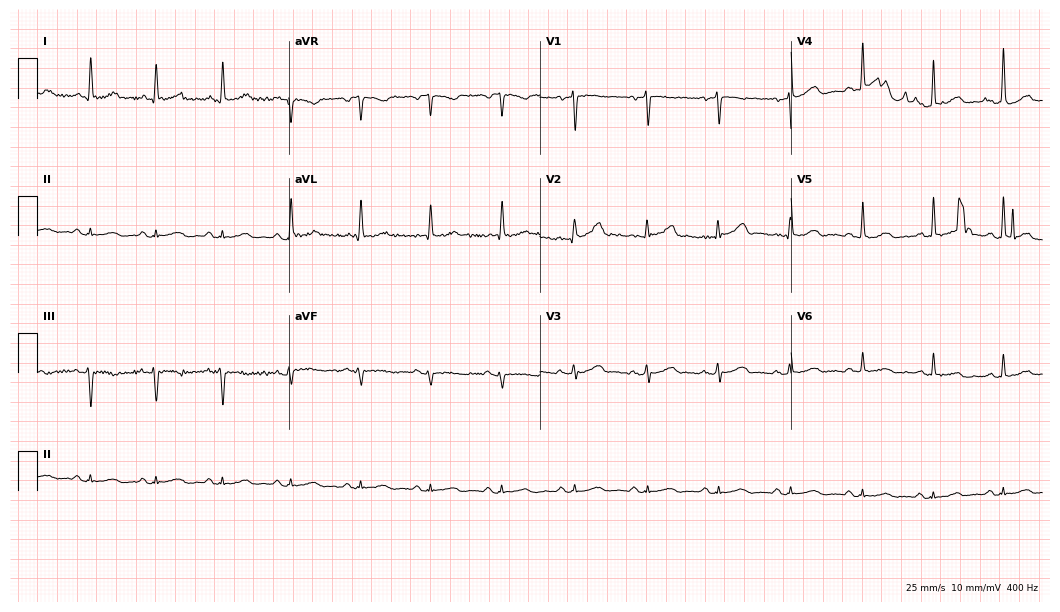
ECG — a 65-year-old man. Labelled as a normal ECG.